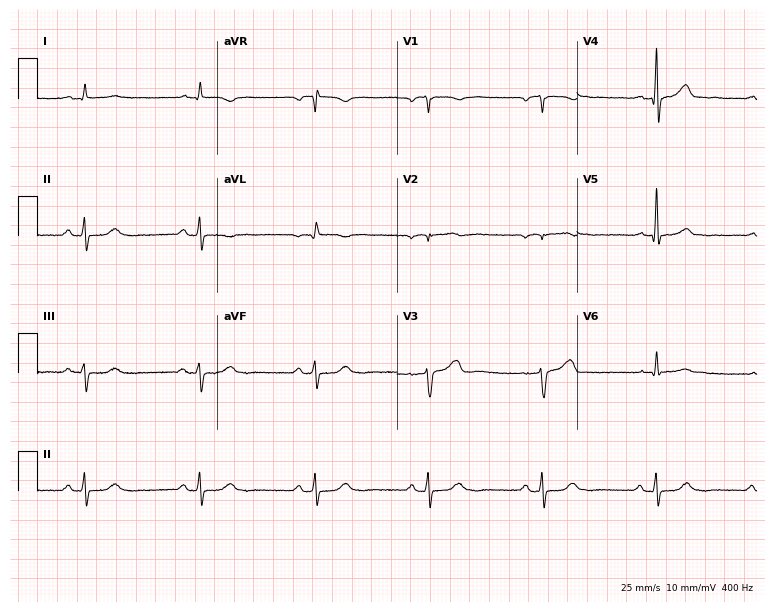
Resting 12-lead electrocardiogram (7.3-second recording at 400 Hz). Patient: a 72-year-old man. None of these six findings is recorded: first-degree AV block, right bundle branch block, left bundle branch block, sinus bradycardia, atrial fibrillation, sinus tachycardia. Only these six findings were labelled.